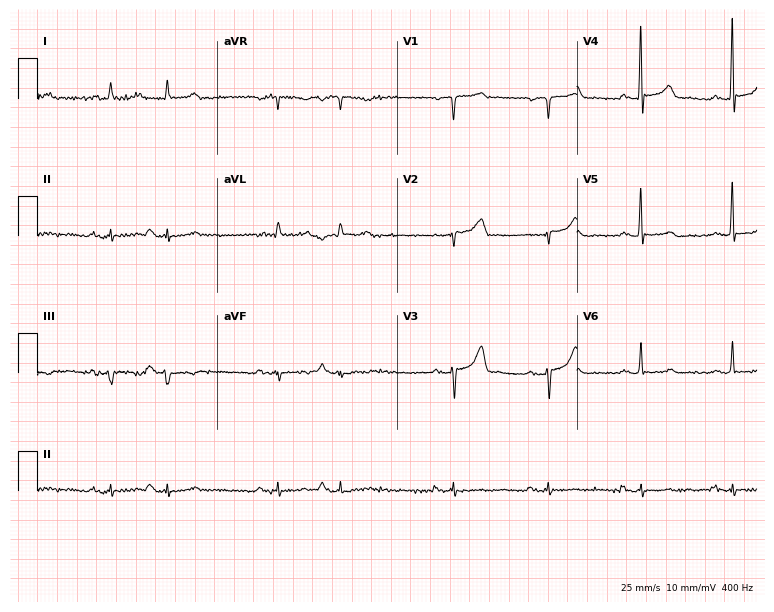
Electrocardiogram, an 85-year-old male patient. Of the six screened findings (first-degree AV block, right bundle branch block, left bundle branch block, sinus bradycardia, atrial fibrillation, sinus tachycardia), none is recorded.